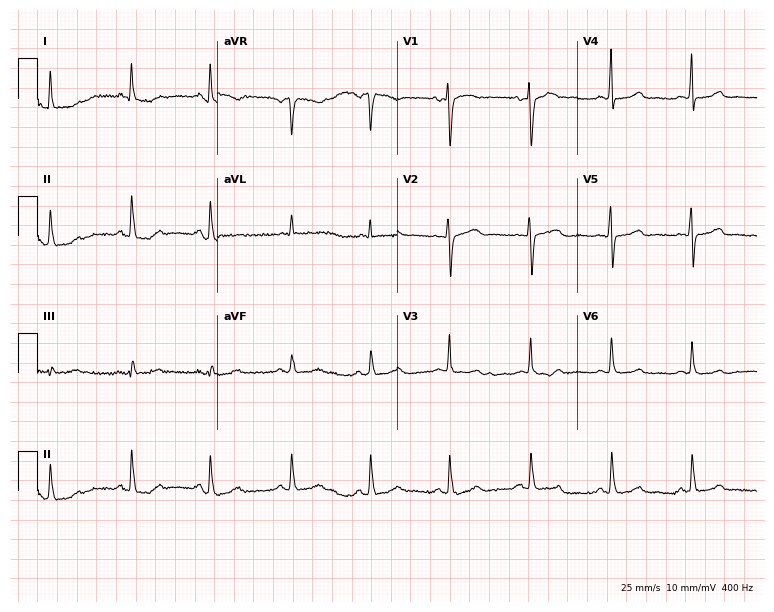
Resting 12-lead electrocardiogram. Patient: a man, 70 years old. Read as a normal ECG.